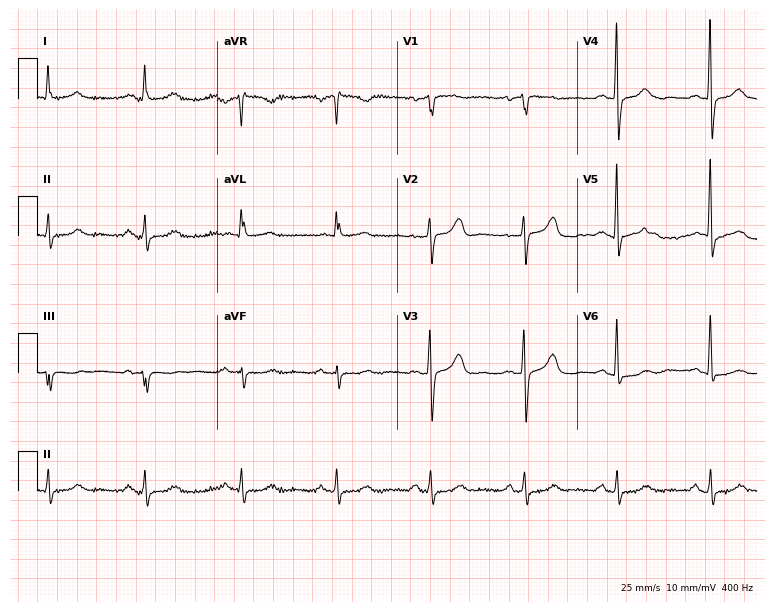
ECG (7.3-second recording at 400 Hz) — a 69-year-old woman. Screened for six findings — first-degree AV block, right bundle branch block, left bundle branch block, sinus bradycardia, atrial fibrillation, sinus tachycardia — none is recorded.